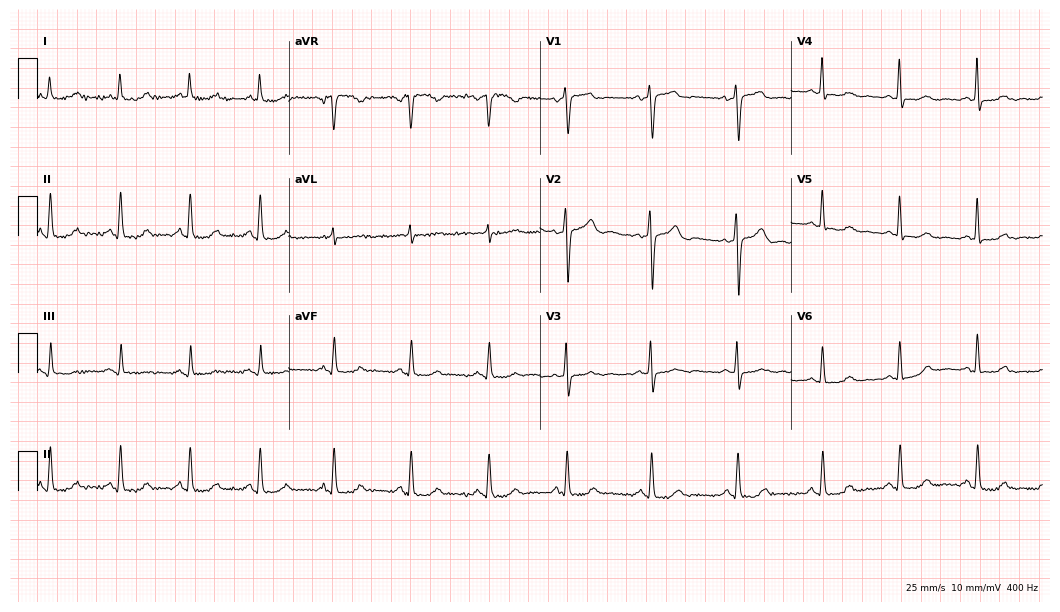
Electrocardiogram (10.2-second recording at 400 Hz), a female patient, 62 years old. Of the six screened findings (first-degree AV block, right bundle branch block, left bundle branch block, sinus bradycardia, atrial fibrillation, sinus tachycardia), none is recorded.